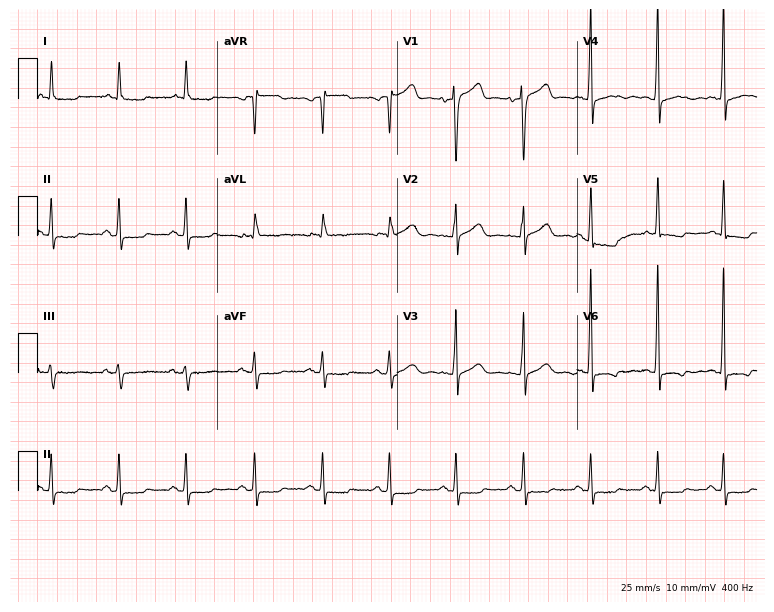
Resting 12-lead electrocardiogram (7.3-second recording at 400 Hz). Patient: a male, 85 years old. None of these six findings is recorded: first-degree AV block, right bundle branch block, left bundle branch block, sinus bradycardia, atrial fibrillation, sinus tachycardia.